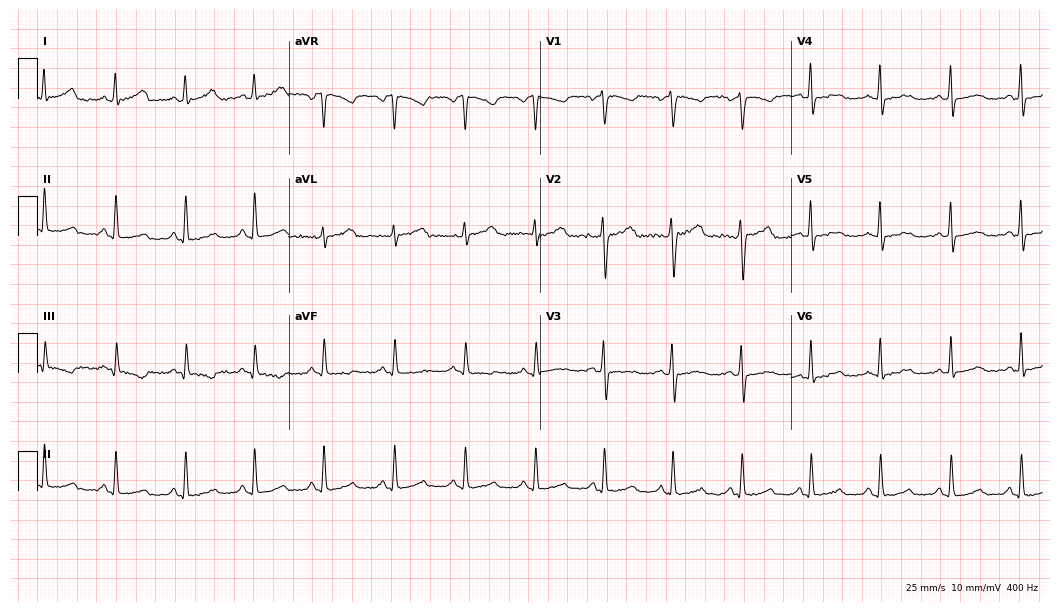
Resting 12-lead electrocardiogram. Patient: a woman, 38 years old. Read as a normal ECG.